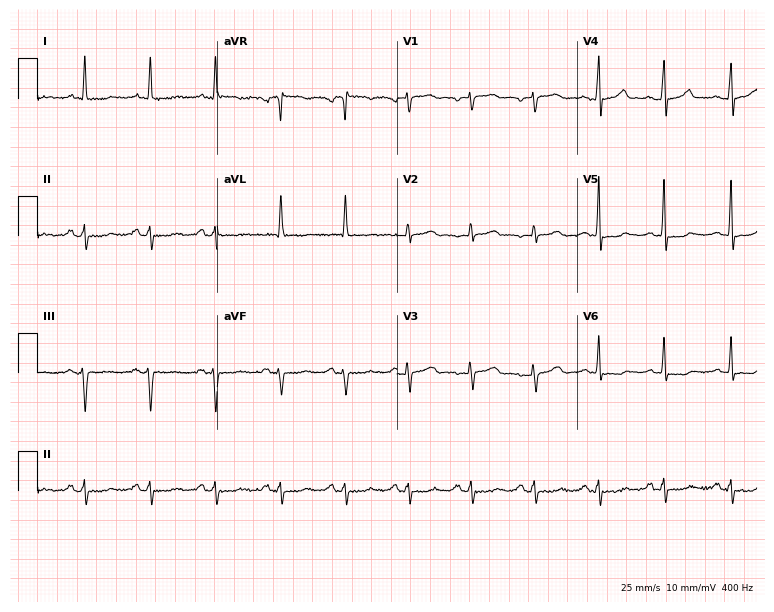
ECG — a 70-year-old woman. Screened for six findings — first-degree AV block, right bundle branch block, left bundle branch block, sinus bradycardia, atrial fibrillation, sinus tachycardia — none is recorded. Findings outside these six are not listed.